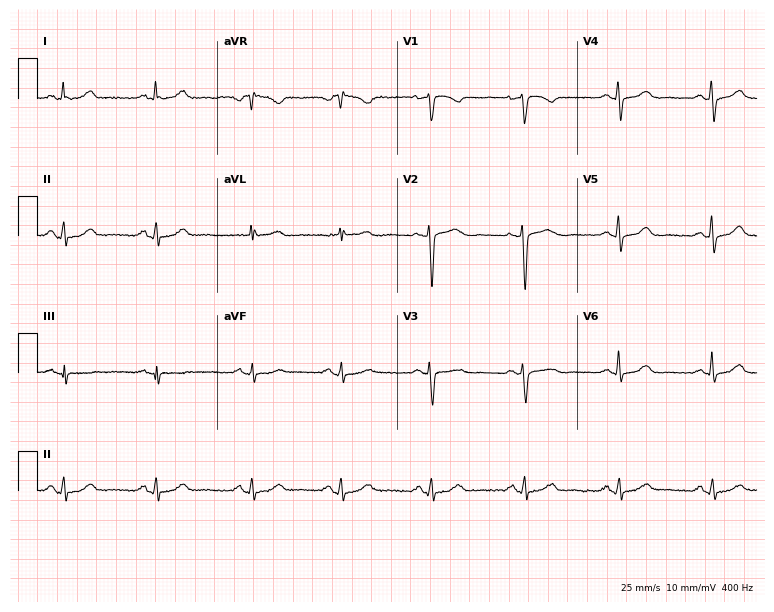
12-lead ECG from a 49-year-old woman. Labelled as a normal ECG.